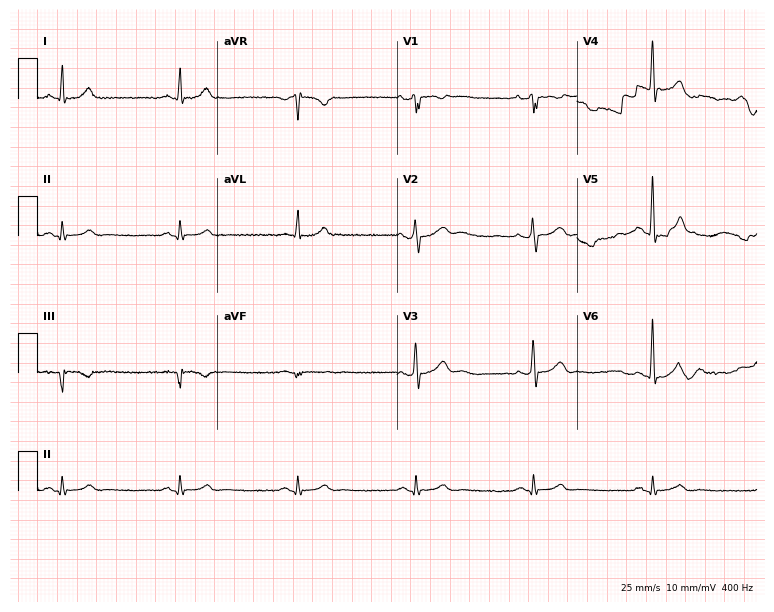
Resting 12-lead electrocardiogram (7.3-second recording at 400 Hz). Patient: a male, 64 years old. The tracing shows sinus bradycardia (a sinus rate of 50 beats per minute or less).